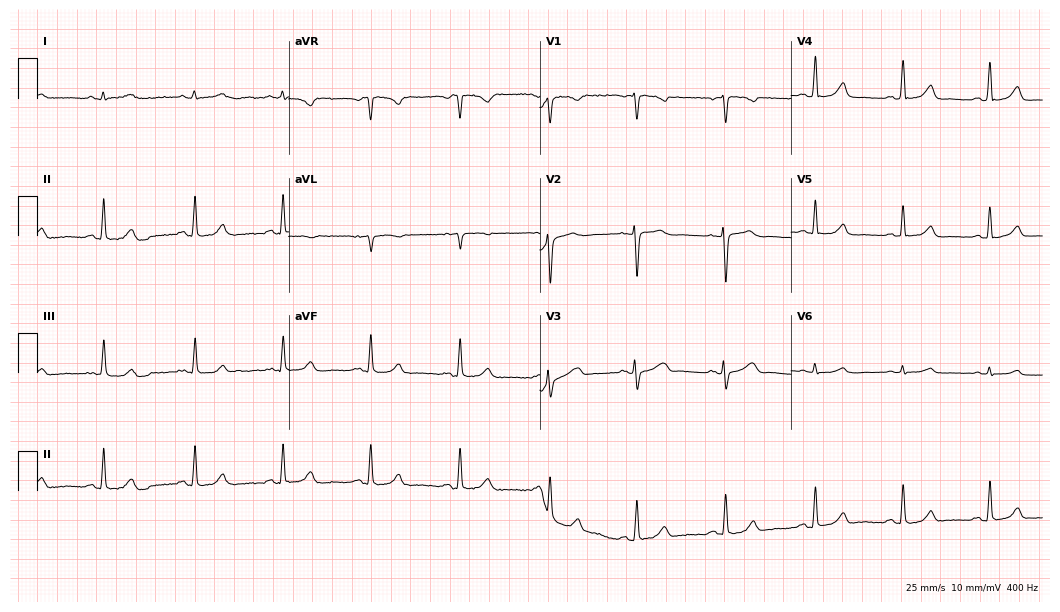
12-lead ECG from a woman, 39 years old (10.2-second recording at 400 Hz). Recorded interpretation: within normal limits.